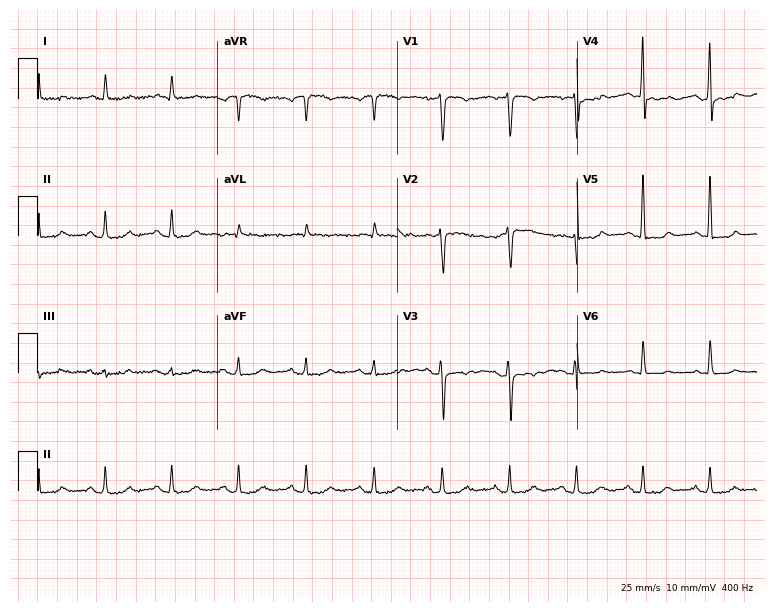
ECG (7.3-second recording at 400 Hz) — a 51-year-old male. Screened for six findings — first-degree AV block, right bundle branch block, left bundle branch block, sinus bradycardia, atrial fibrillation, sinus tachycardia — none is recorded.